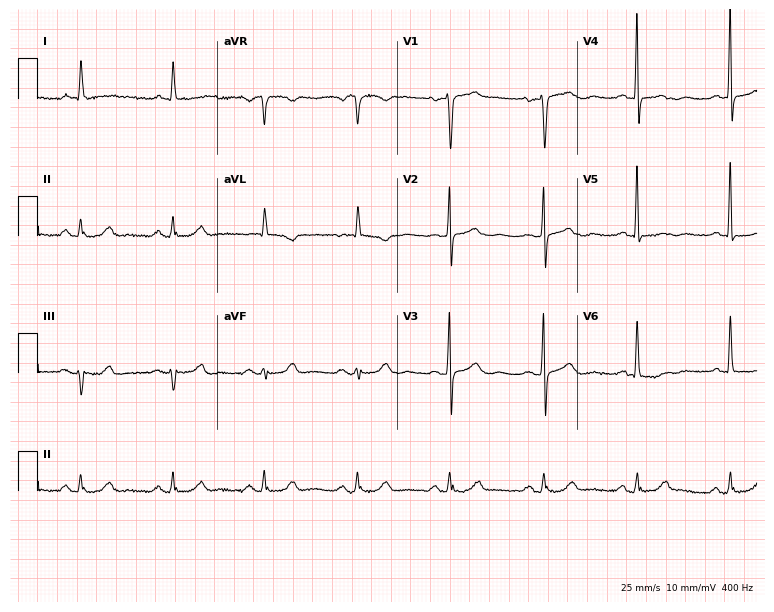
Standard 12-lead ECG recorded from an 85-year-old woman (7.3-second recording at 400 Hz). None of these six findings is recorded: first-degree AV block, right bundle branch block (RBBB), left bundle branch block (LBBB), sinus bradycardia, atrial fibrillation (AF), sinus tachycardia. Other findings, if any, are not listed.